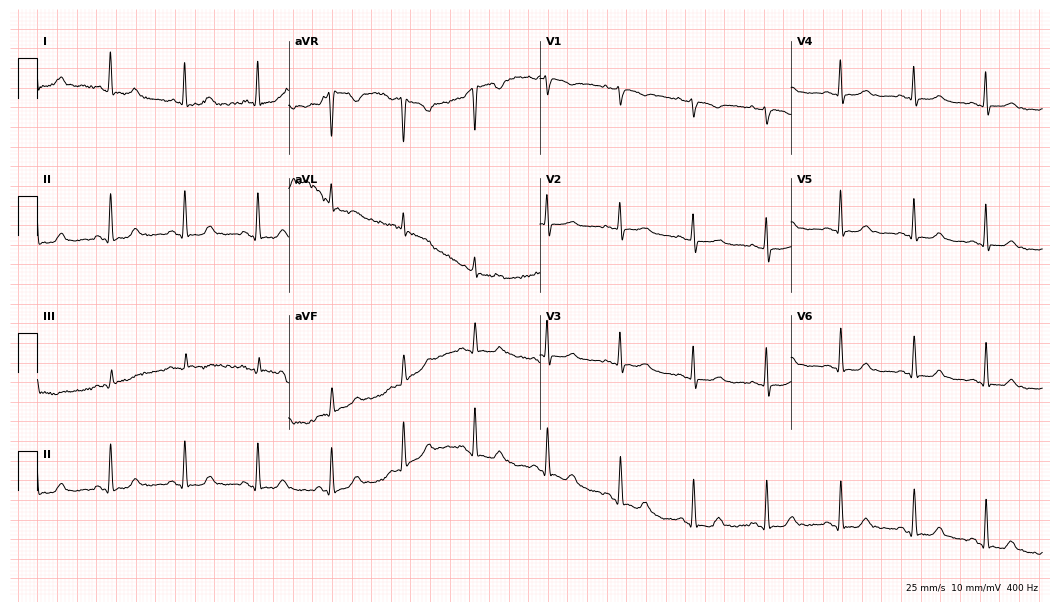
ECG — a 49-year-old female. Screened for six findings — first-degree AV block, right bundle branch block, left bundle branch block, sinus bradycardia, atrial fibrillation, sinus tachycardia — none is recorded. Findings outside these six are not listed.